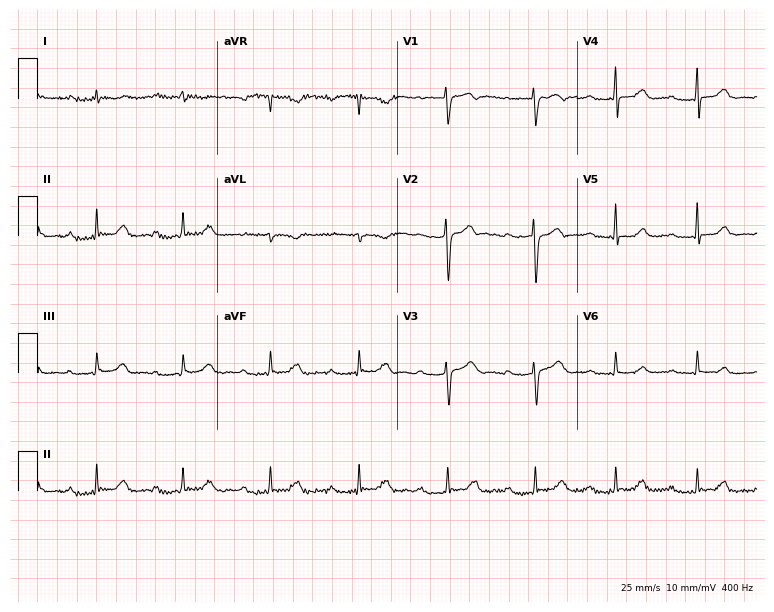
Standard 12-lead ECG recorded from a female patient, 44 years old. The tracing shows first-degree AV block.